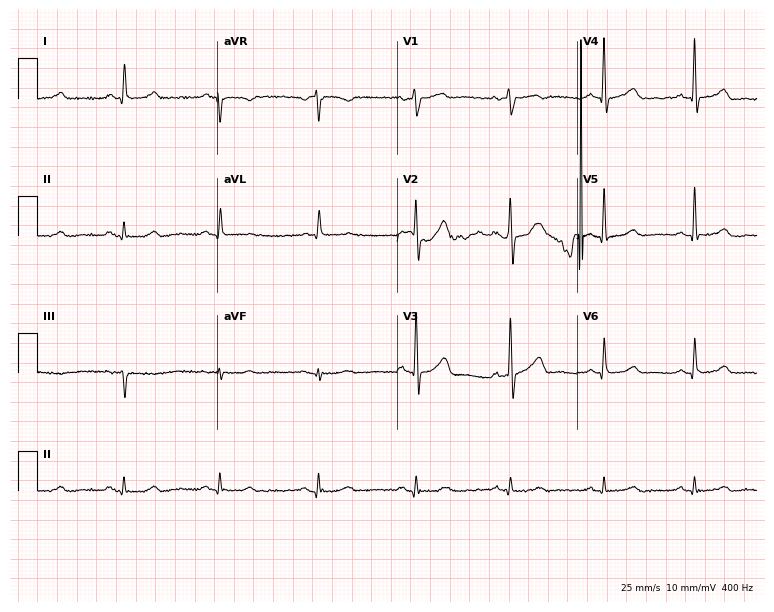
Electrocardiogram, a man, 52 years old. Of the six screened findings (first-degree AV block, right bundle branch block (RBBB), left bundle branch block (LBBB), sinus bradycardia, atrial fibrillation (AF), sinus tachycardia), none is recorded. Findings outside these six are not listed.